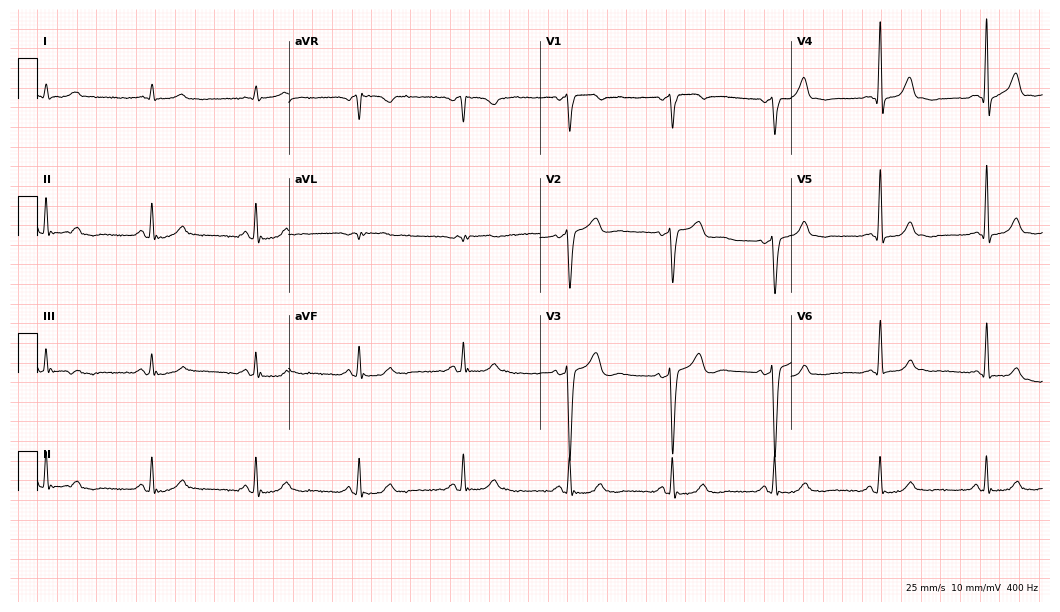
12-lead ECG from a male patient, 76 years old. Recorded interpretation: within normal limits.